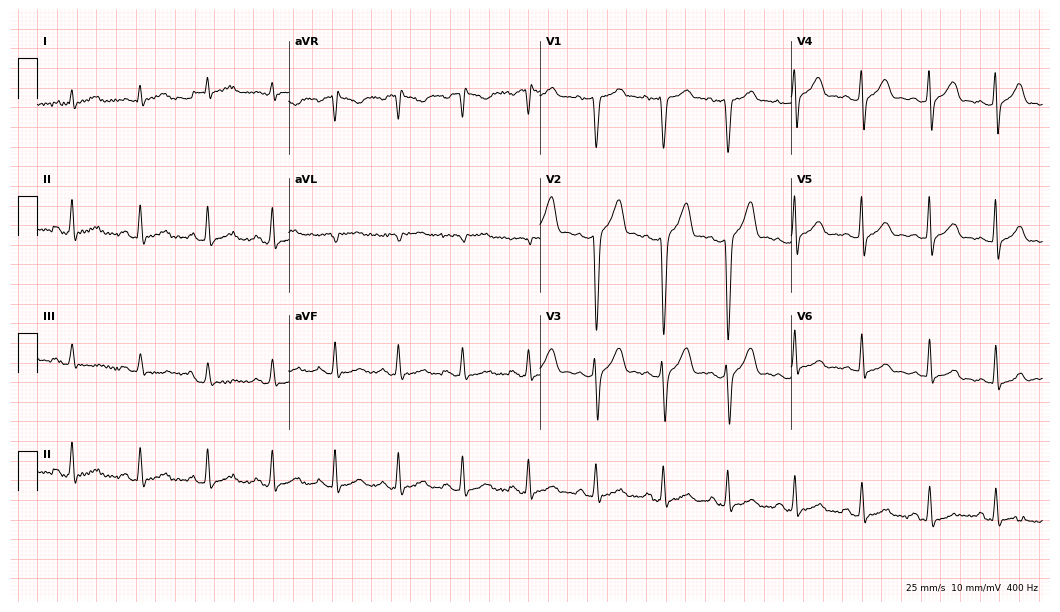
Electrocardiogram (10.2-second recording at 400 Hz), a 34-year-old male. Of the six screened findings (first-degree AV block, right bundle branch block, left bundle branch block, sinus bradycardia, atrial fibrillation, sinus tachycardia), none is recorded. Other findings, if any, are not listed.